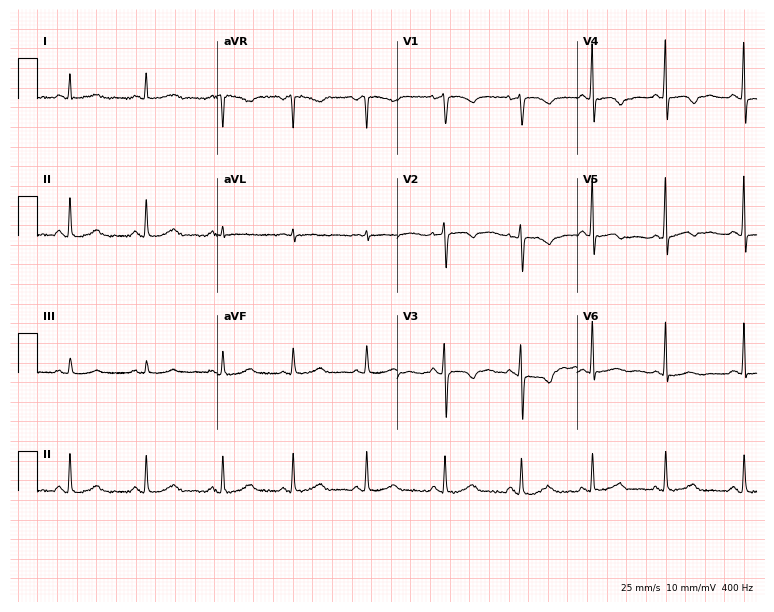
Electrocardiogram (7.3-second recording at 400 Hz), a woman, 51 years old. Of the six screened findings (first-degree AV block, right bundle branch block, left bundle branch block, sinus bradycardia, atrial fibrillation, sinus tachycardia), none is recorded. Only these six findings were labelled.